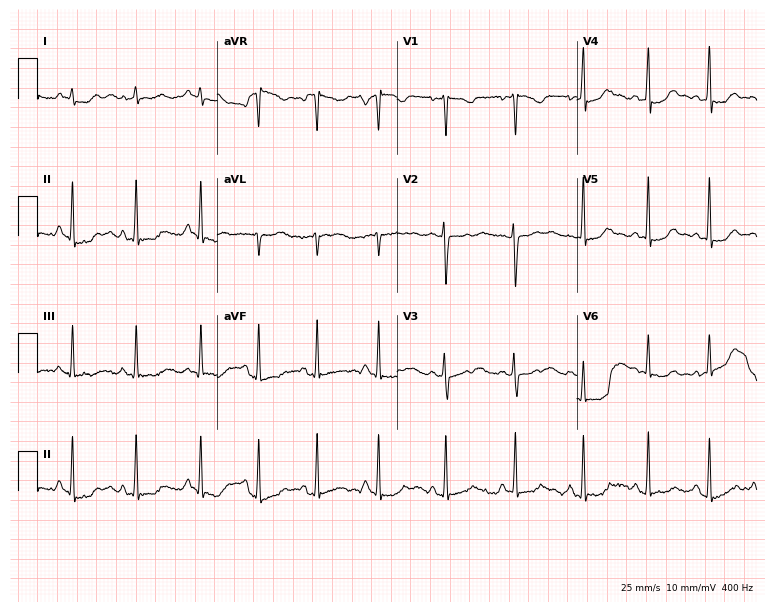
Electrocardiogram, a 23-year-old woman. Of the six screened findings (first-degree AV block, right bundle branch block (RBBB), left bundle branch block (LBBB), sinus bradycardia, atrial fibrillation (AF), sinus tachycardia), none is recorded. Findings outside these six are not listed.